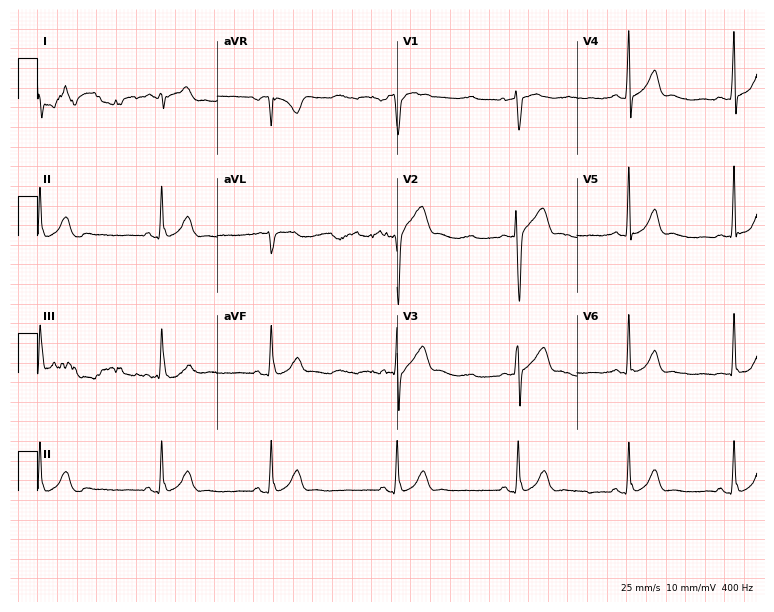
12-lead ECG from a male, 25 years old. Screened for six findings — first-degree AV block, right bundle branch block, left bundle branch block, sinus bradycardia, atrial fibrillation, sinus tachycardia — none is recorded. Other findings, if any, are not listed.